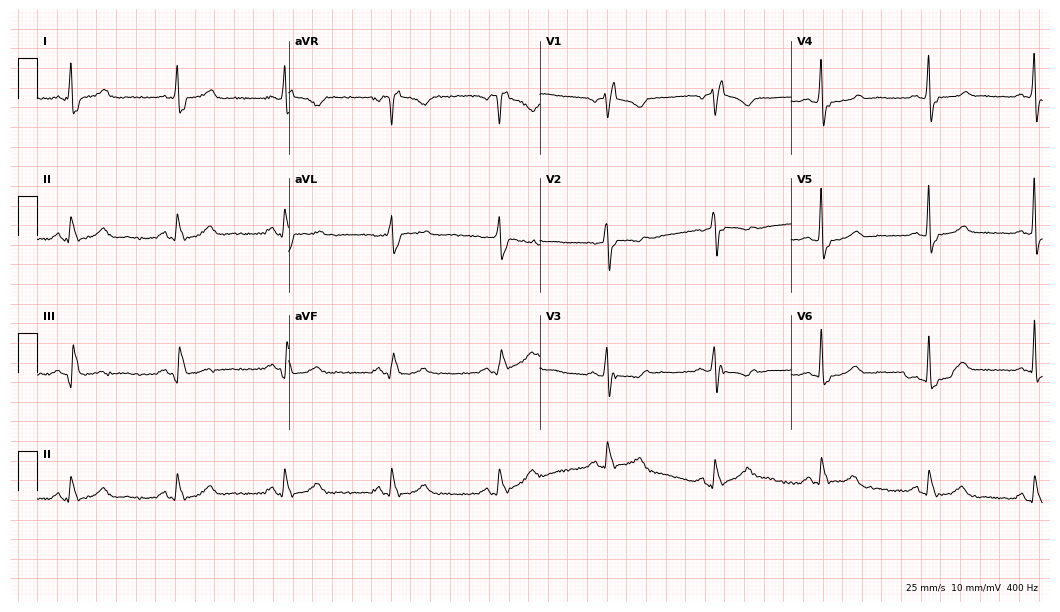
Electrocardiogram, a female, 70 years old. Of the six screened findings (first-degree AV block, right bundle branch block, left bundle branch block, sinus bradycardia, atrial fibrillation, sinus tachycardia), none is recorded.